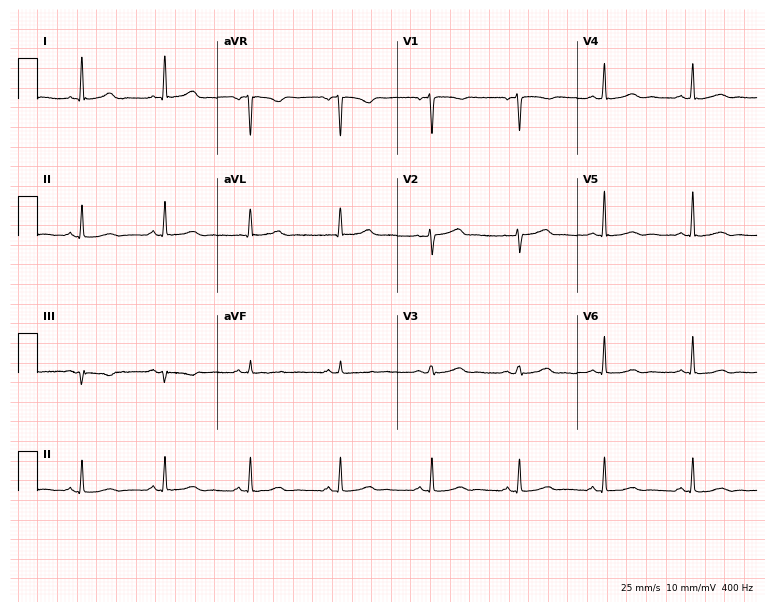
12-lead ECG from a woman, 42 years old. Recorded interpretation: within normal limits.